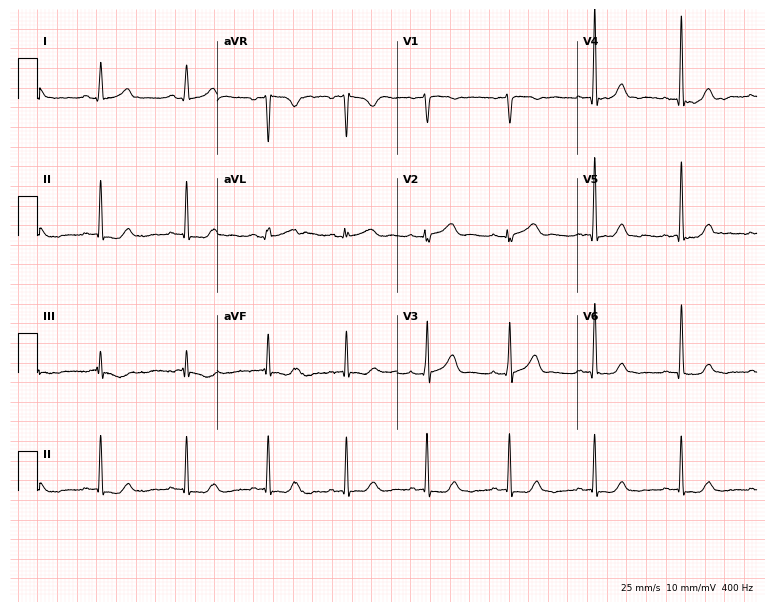
Electrocardiogram (7.3-second recording at 400 Hz), a 28-year-old female patient. Overall reading on record: normal ECG.